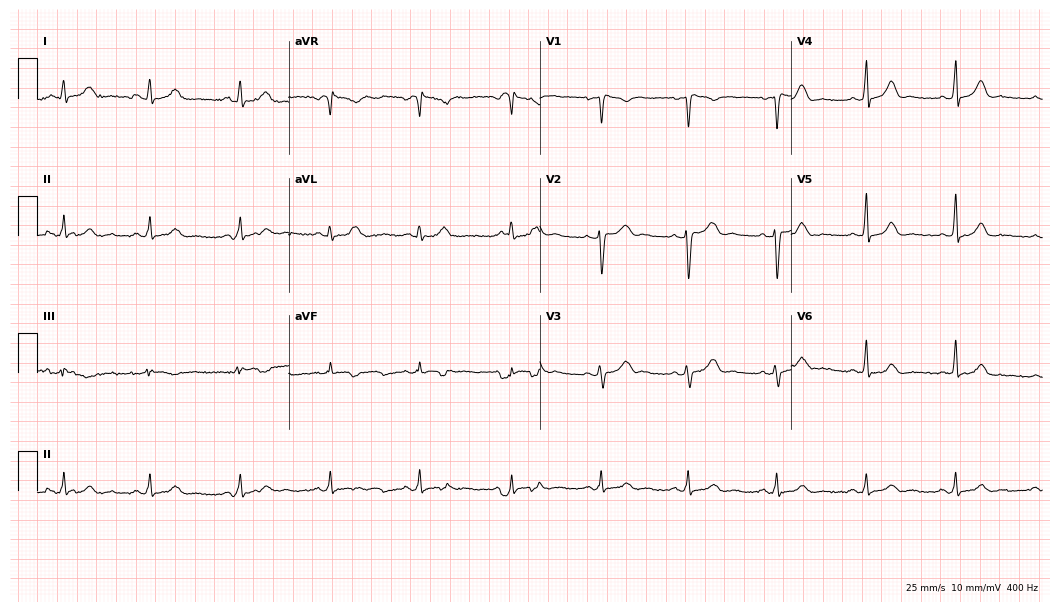
Electrocardiogram, a 27-year-old female patient. Of the six screened findings (first-degree AV block, right bundle branch block (RBBB), left bundle branch block (LBBB), sinus bradycardia, atrial fibrillation (AF), sinus tachycardia), none is recorded.